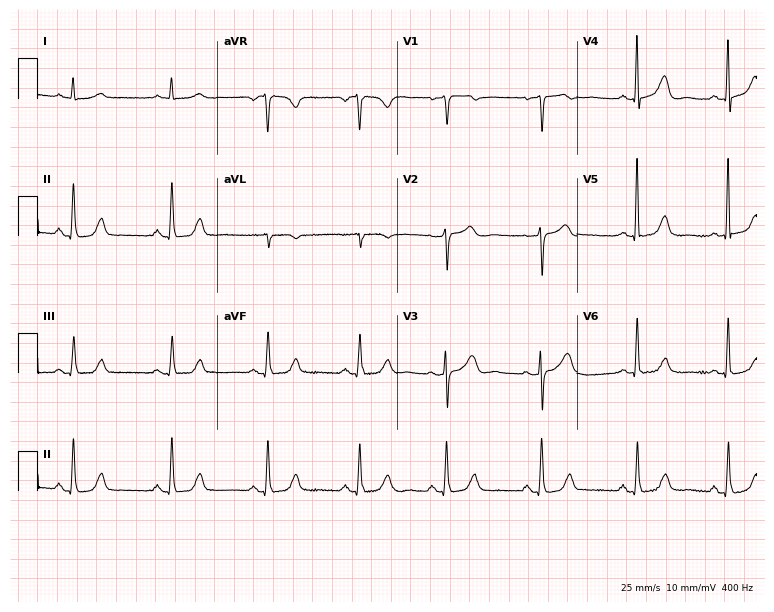
Standard 12-lead ECG recorded from a 78-year-old female (7.3-second recording at 400 Hz). None of these six findings is recorded: first-degree AV block, right bundle branch block, left bundle branch block, sinus bradycardia, atrial fibrillation, sinus tachycardia. Only these six findings were labelled.